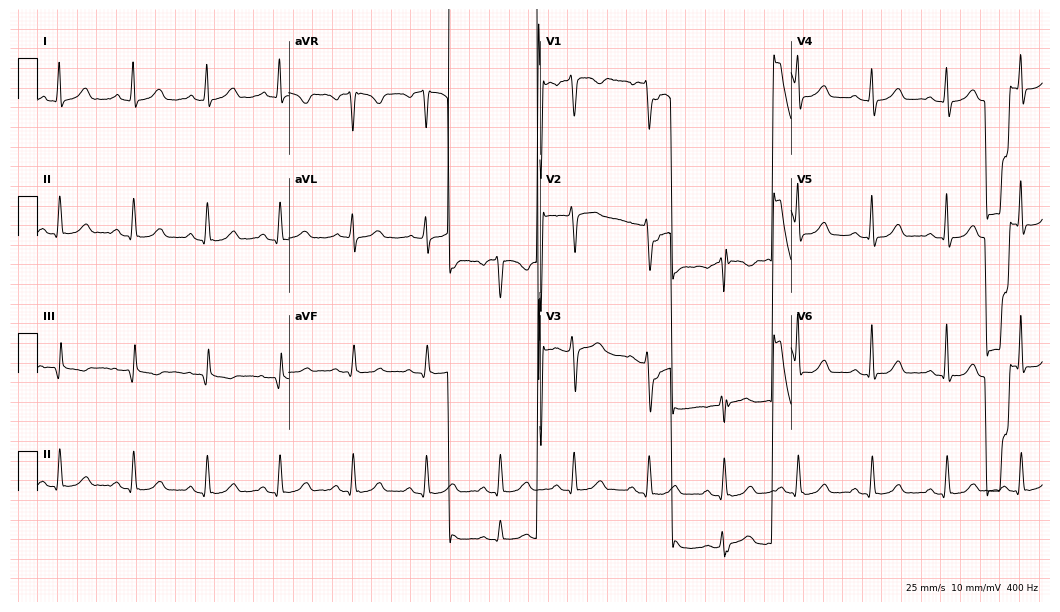
Standard 12-lead ECG recorded from a 44-year-old female. None of these six findings is recorded: first-degree AV block, right bundle branch block, left bundle branch block, sinus bradycardia, atrial fibrillation, sinus tachycardia.